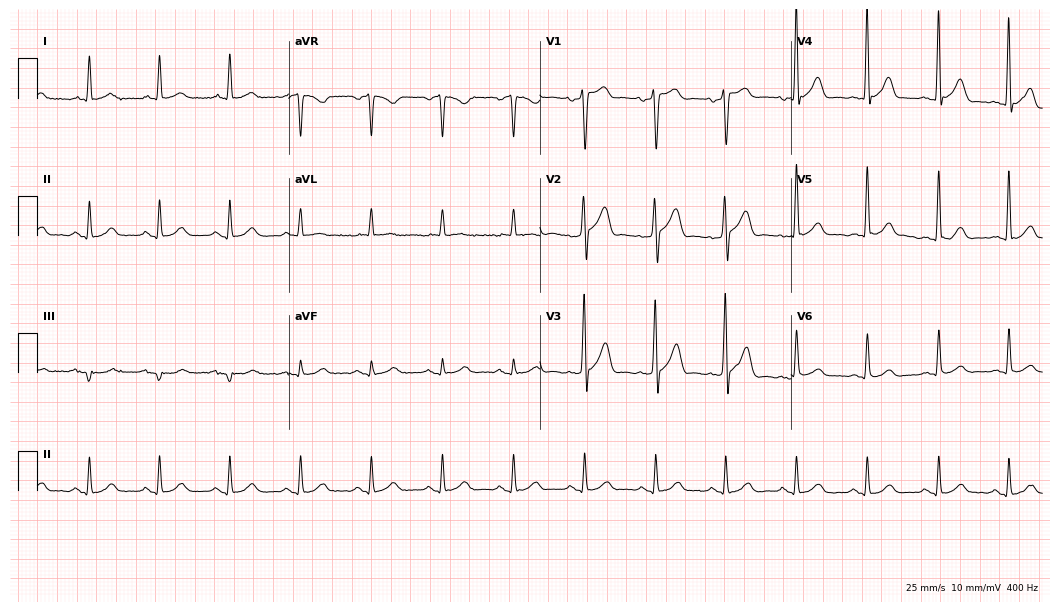
12-lead ECG from a 75-year-old male patient (10.2-second recording at 400 Hz). Recorded interpretation: within normal limits.